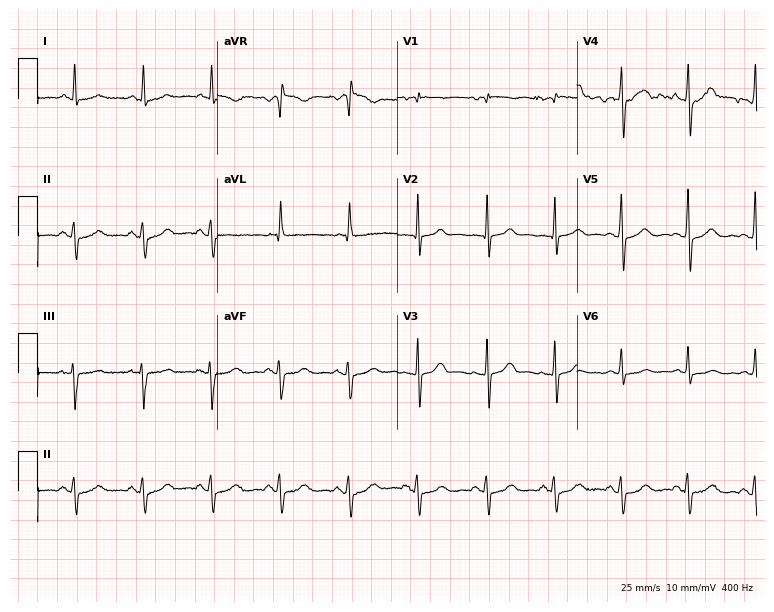
Standard 12-lead ECG recorded from a 77-year-old female. None of these six findings is recorded: first-degree AV block, right bundle branch block, left bundle branch block, sinus bradycardia, atrial fibrillation, sinus tachycardia. Other findings, if any, are not listed.